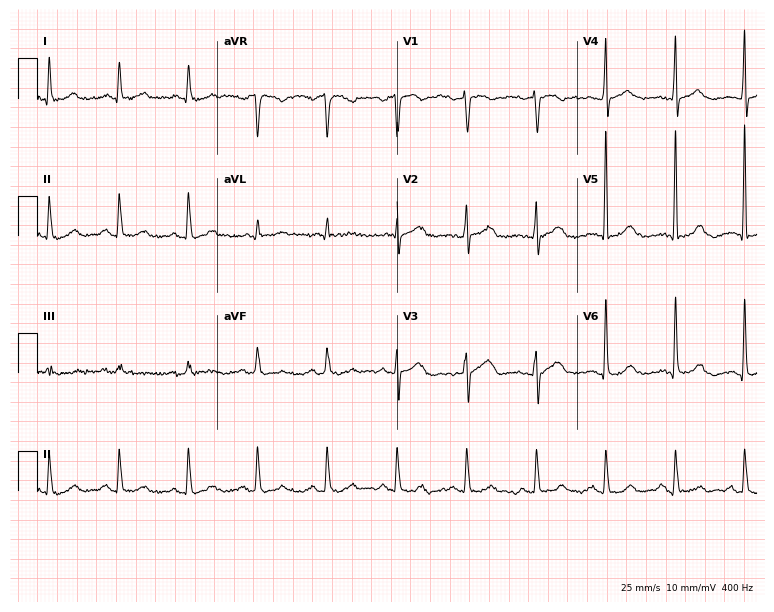
12-lead ECG from a 79-year-old woman. No first-degree AV block, right bundle branch block (RBBB), left bundle branch block (LBBB), sinus bradycardia, atrial fibrillation (AF) or sinus tachycardia recorded for this tracing.